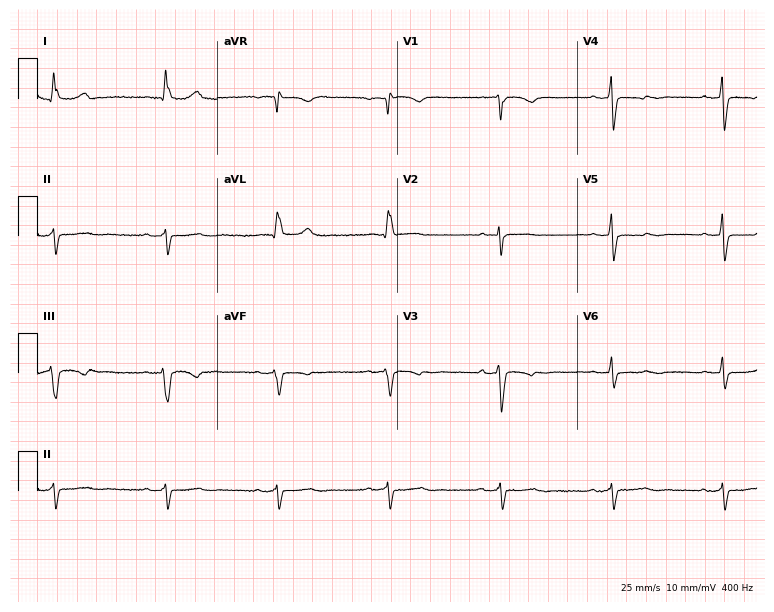
Standard 12-lead ECG recorded from a female, 79 years old. None of these six findings is recorded: first-degree AV block, right bundle branch block, left bundle branch block, sinus bradycardia, atrial fibrillation, sinus tachycardia.